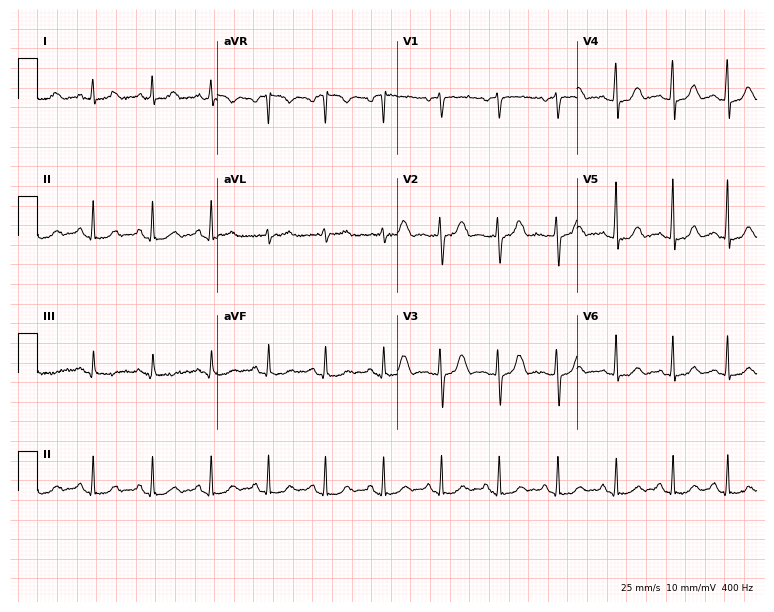
Resting 12-lead electrocardiogram. Patient: a woman, 43 years old. The tracing shows sinus tachycardia (a sinus rate of 100 beats per minute or more).